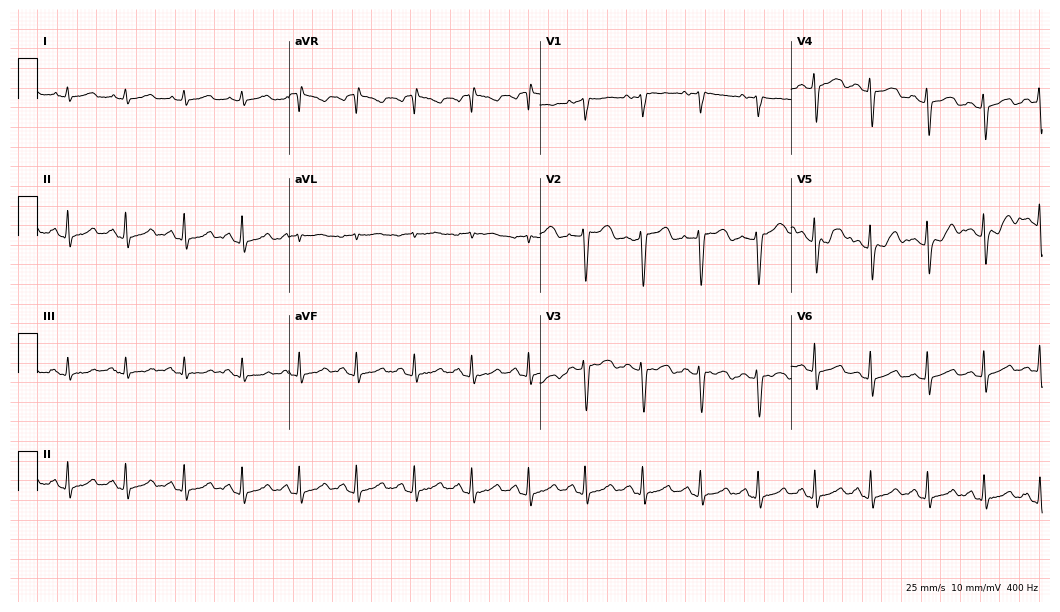
12-lead ECG from a 50-year-old female patient. Labelled as a normal ECG.